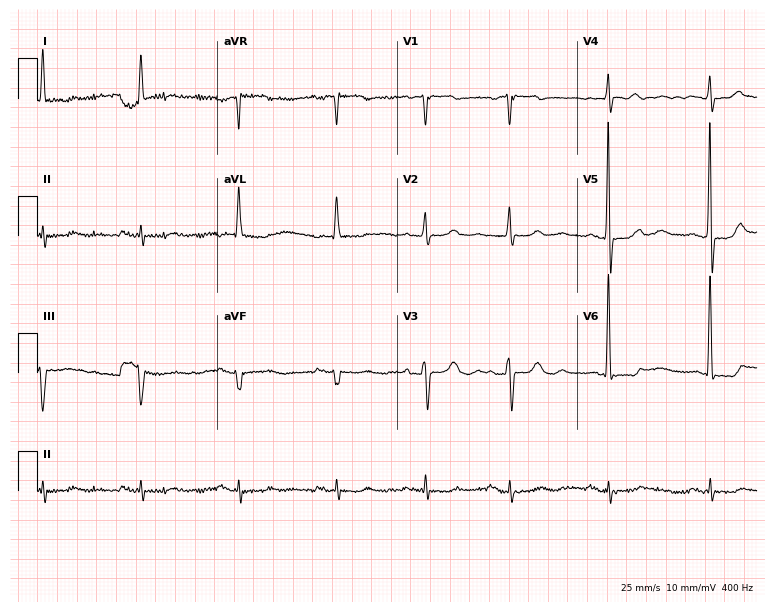
Standard 12-lead ECG recorded from a woman, 83 years old (7.3-second recording at 400 Hz). None of these six findings is recorded: first-degree AV block, right bundle branch block, left bundle branch block, sinus bradycardia, atrial fibrillation, sinus tachycardia.